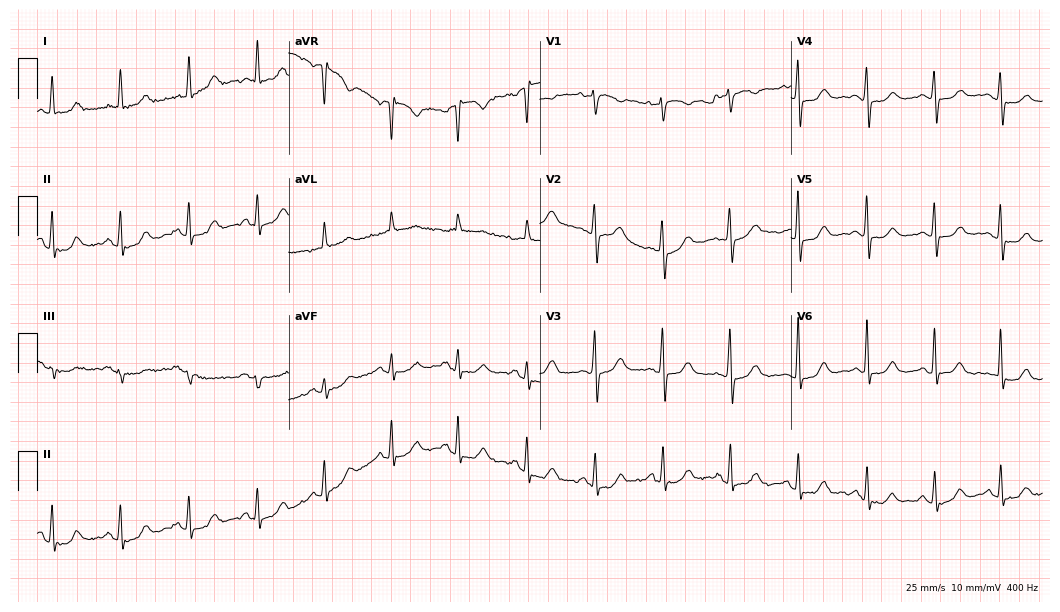
12-lead ECG from a 66-year-old female. Labelled as a normal ECG.